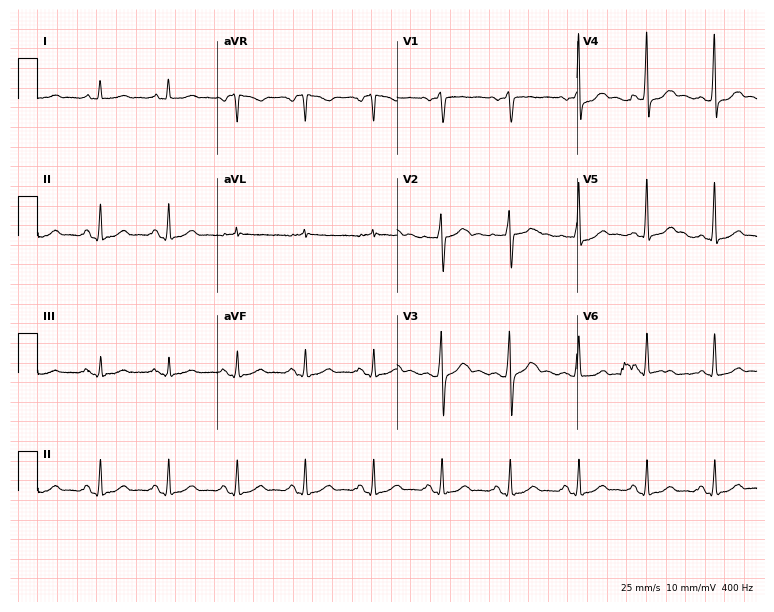
Standard 12-lead ECG recorded from a 57-year-old man (7.3-second recording at 400 Hz). Read as a normal ECG.